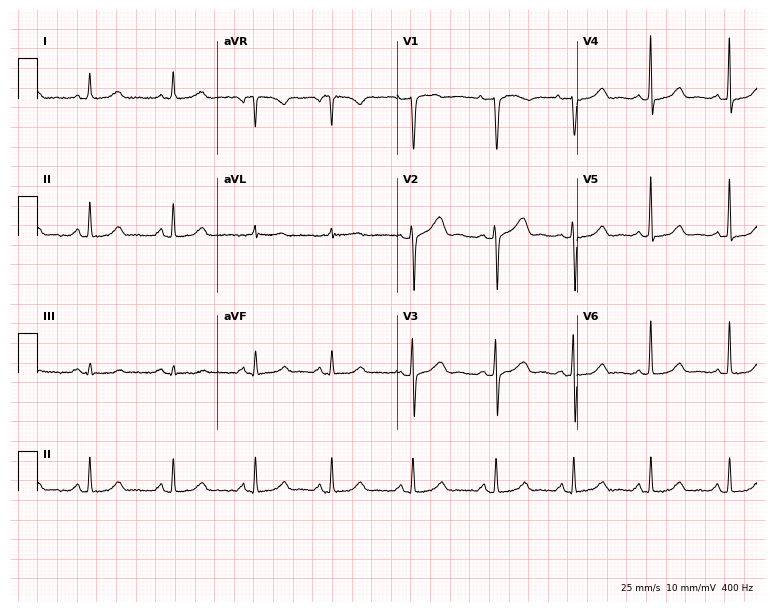
12-lead ECG from a 45-year-old female patient. Labelled as a normal ECG.